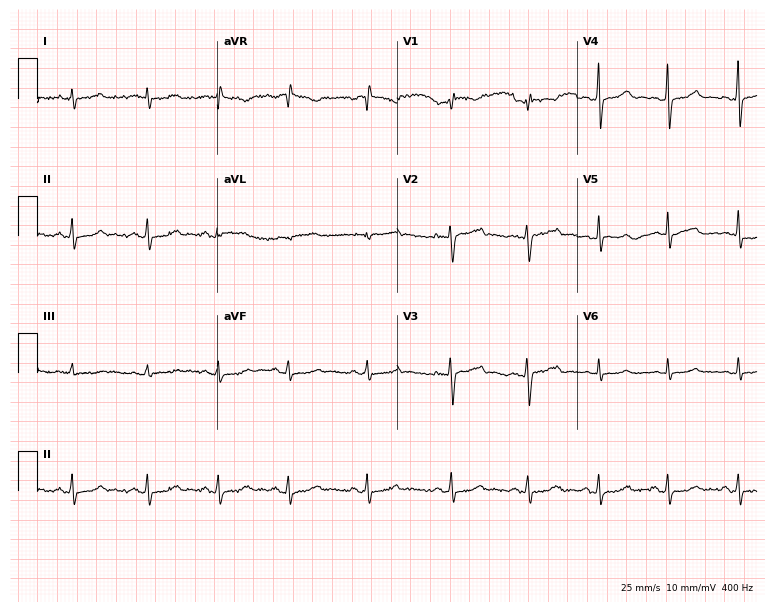
12-lead ECG (7.3-second recording at 400 Hz) from a 34-year-old woman. Labelled as a normal ECG.